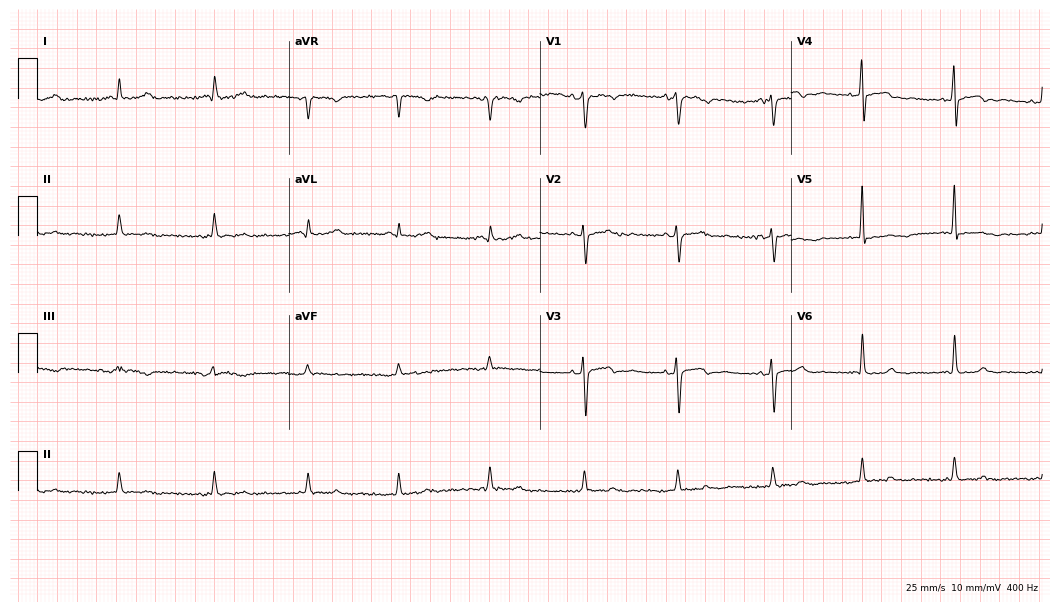
Electrocardiogram (10.2-second recording at 400 Hz), a woman, 41 years old. Of the six screened findings (first-degree AV block, right bundle branch block (RBBB), left bundle branch block (LBBB), sinus bradycardia, atrial fibrillation (AF), sinus tachycardia), none is recorded. Only these six findings were labelled.